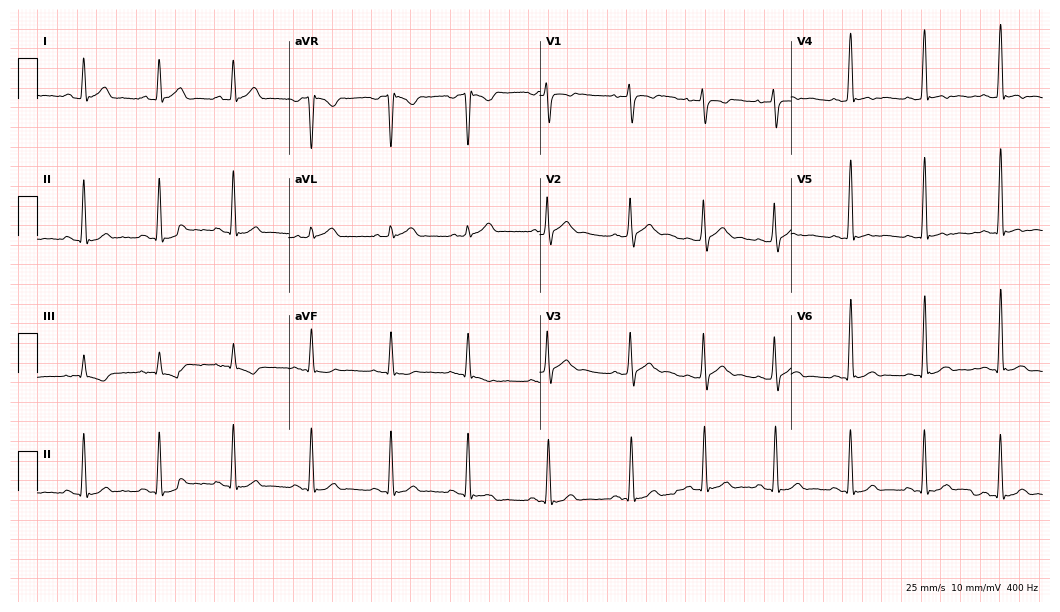
12-lead ECG from a 26-year-old man. No first-degree AV block, right bundle branch block, left bundle branch block, sinus bradycardia, atrial fibrillation or sinus tachycardia recorded for this tracing. Findings outside these six are not listed.